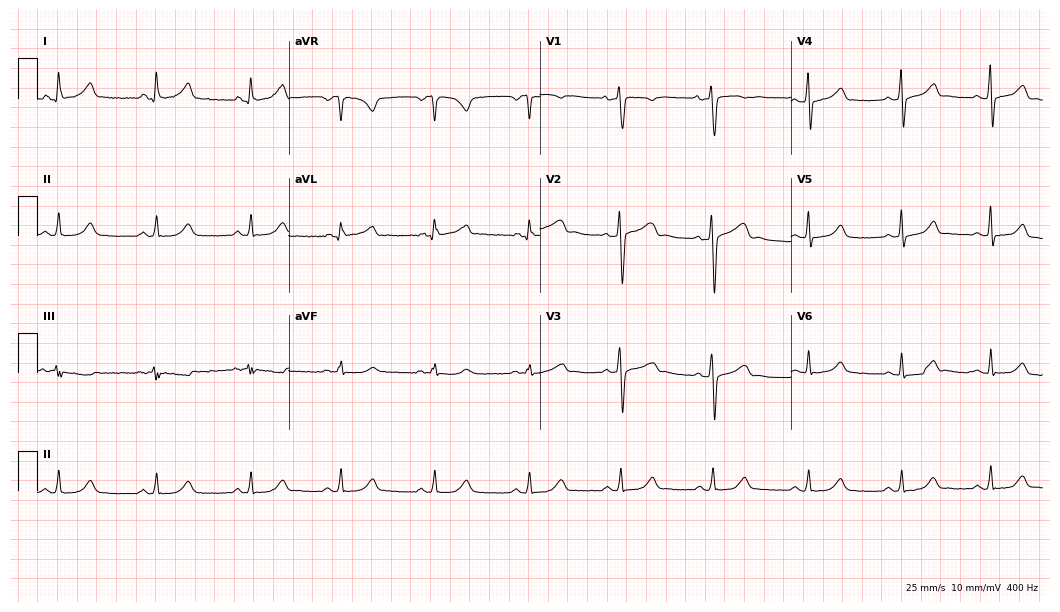
Standard 12-lead ECG recorded from a female patient, 35 years old (10.2-second recording at 400 Hz). Read as a normal ECG.